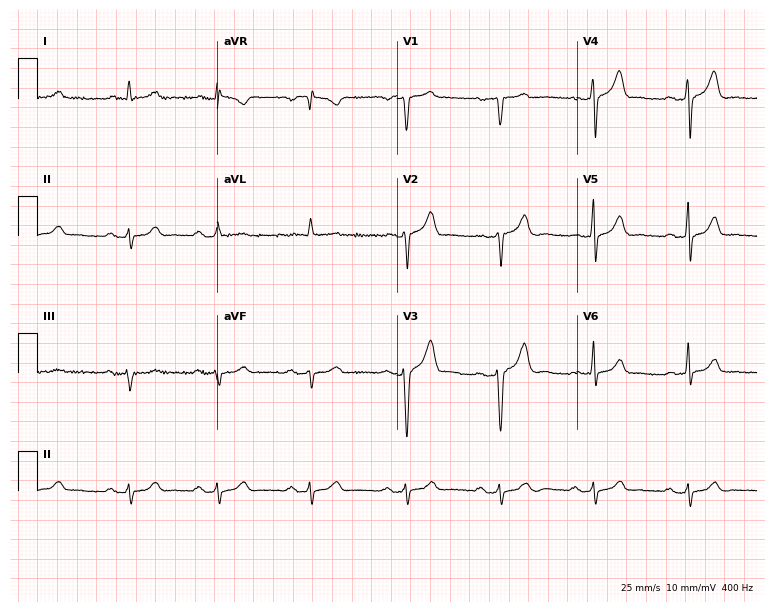
Resting 12-lead electrocardiogram. Patient: a man, 73 years old. None of these six findings is recorded: first-degree AV block, right bundle branch block (RBBB), left bundle branch block (LBBB), sinus bradycardia, atrial fibrillation (AF), sinus tachycardia.